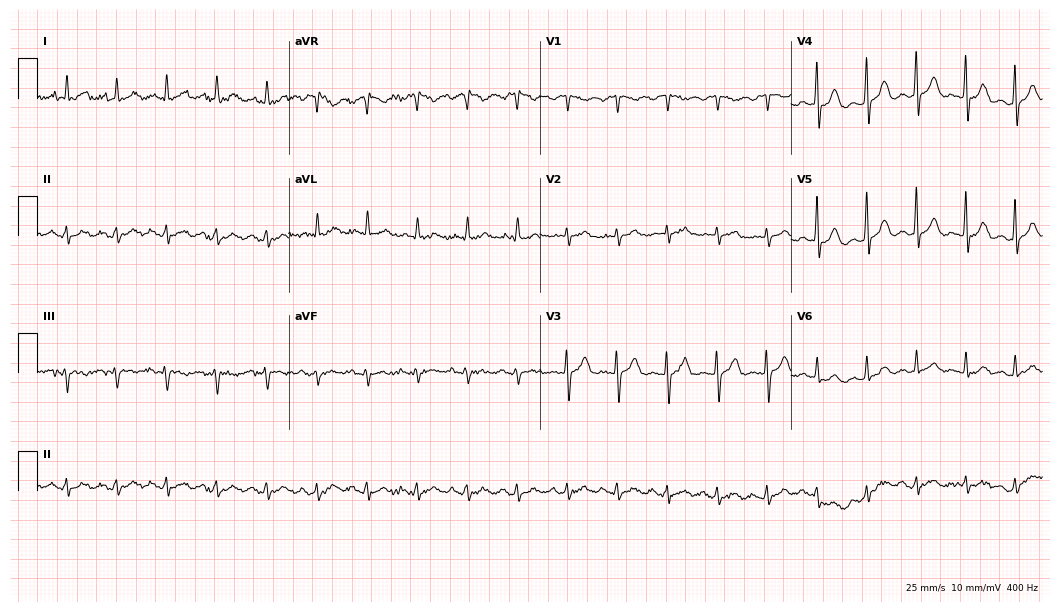
Resting 12-lead electrocardiogram (10.2-second recording at 400 Hz). Patient: a 60-year-old woman. The tracing shows sinus tachycardia (a sinus rate of 100 beats per minute or more).